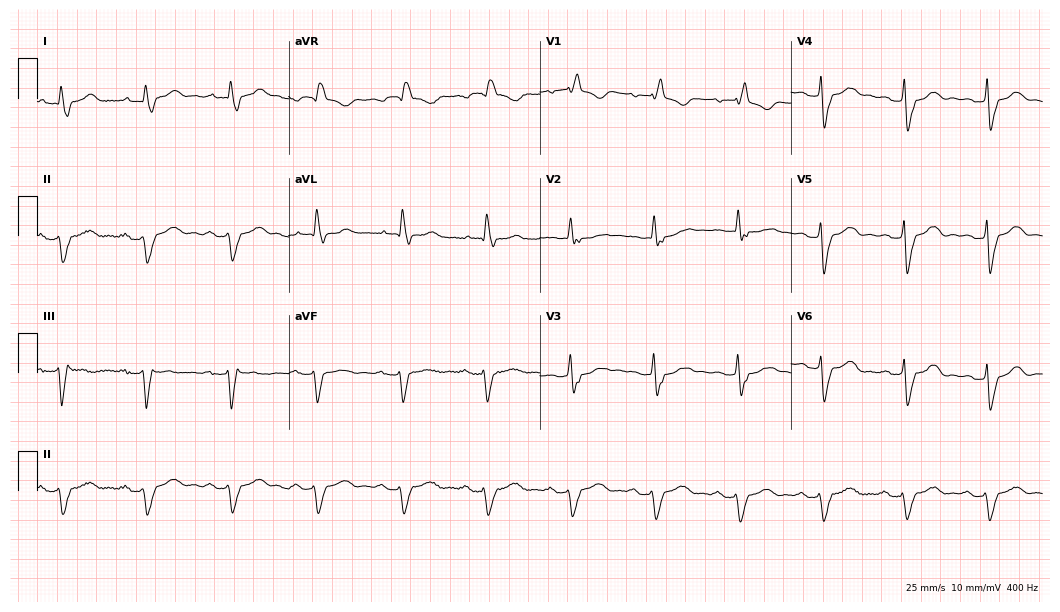
Resting 12-lead electrocardiogram (10.2-second recording at 400 Hz). Patient: a male, 84 years old. The tracing shows first-degree AV block, left bundle branch block.